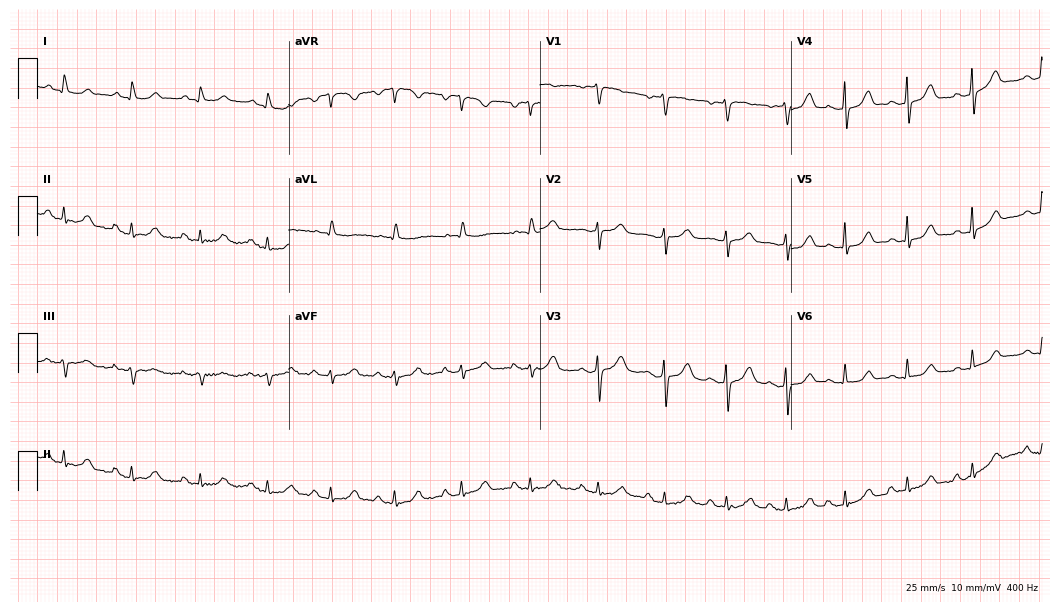
Resting 12-lead electrocardiogram (10.2-second recording at 400 Hz). Patient: a 61-year-old woman. None of these six findings is recorded: first-degree AV block, right bundle branch block, left bundle branch block, sinus bradycardia, atrial fibrillation, sinus tachycardia.